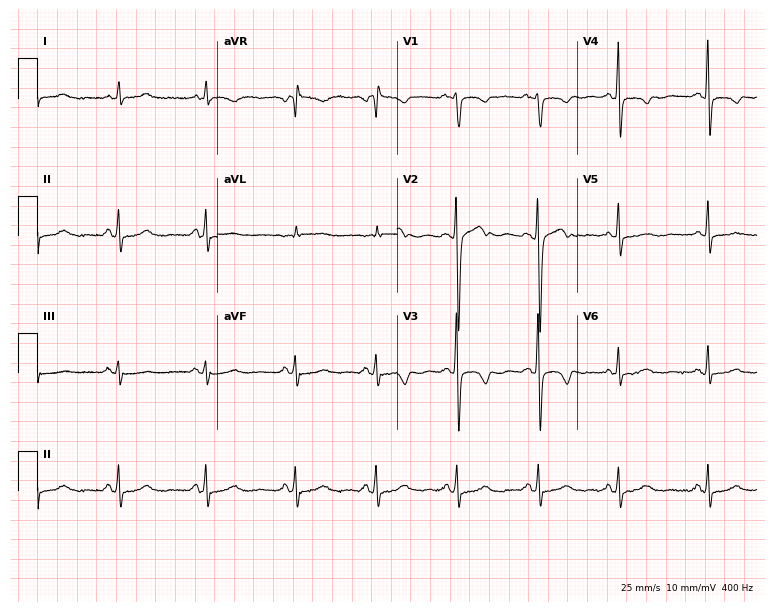
12-lead ECG (7.3-second recording at 400 Hz) from a female, 49 years old. Screened for six findings — first-degree AV block, right bundle branch block, left bundle branch block, sinus bradycardia, atrial fibrillation, sinus tachycardia — none is recorded. Findings outside these six are not listed.